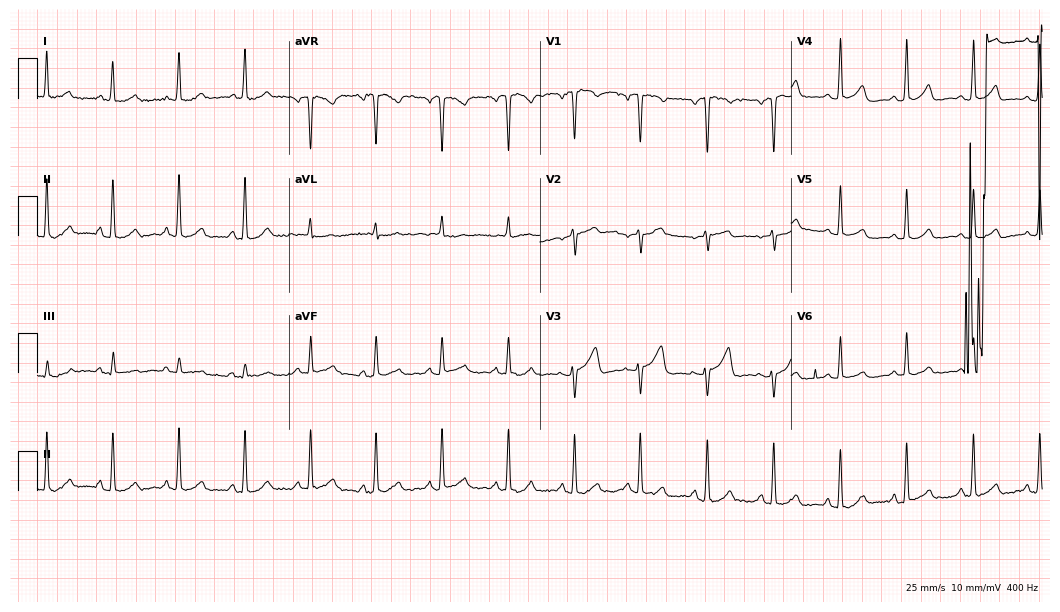
12-lead ECG from a 54-year-old woman. No first-degree AV block, right bundle branch block, left bundle branch block, sinus bradycardia, atrial fibrillation or sinus tachycardia recorded for this tracing.